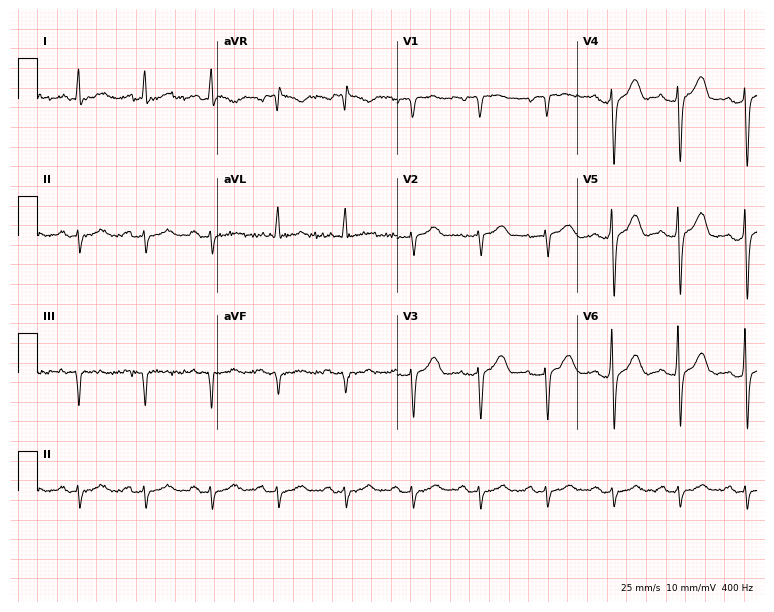
Resting 12-lead electrocardiogram (7.3-second recording at 400 Hz). Patient: a male, 66 years old. None of these six findings is recorded: first-degree AV block, right bundle branch block, left bundle branch block, sinus bradycardia, atrial fibrillation, sinus tachycardia.